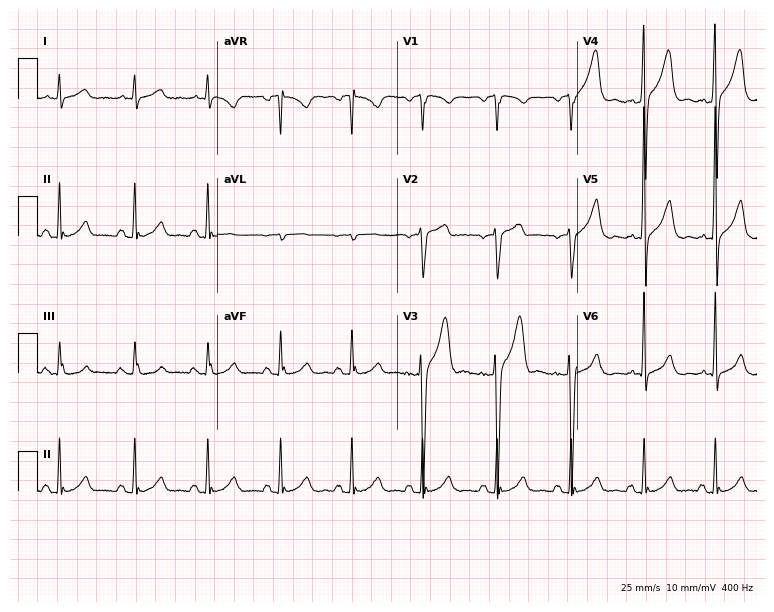
Standard 12-lead ECG recorded from a male patient, 48 years old (7.3-second recording at 400 Hz). Read as a normal ECG.